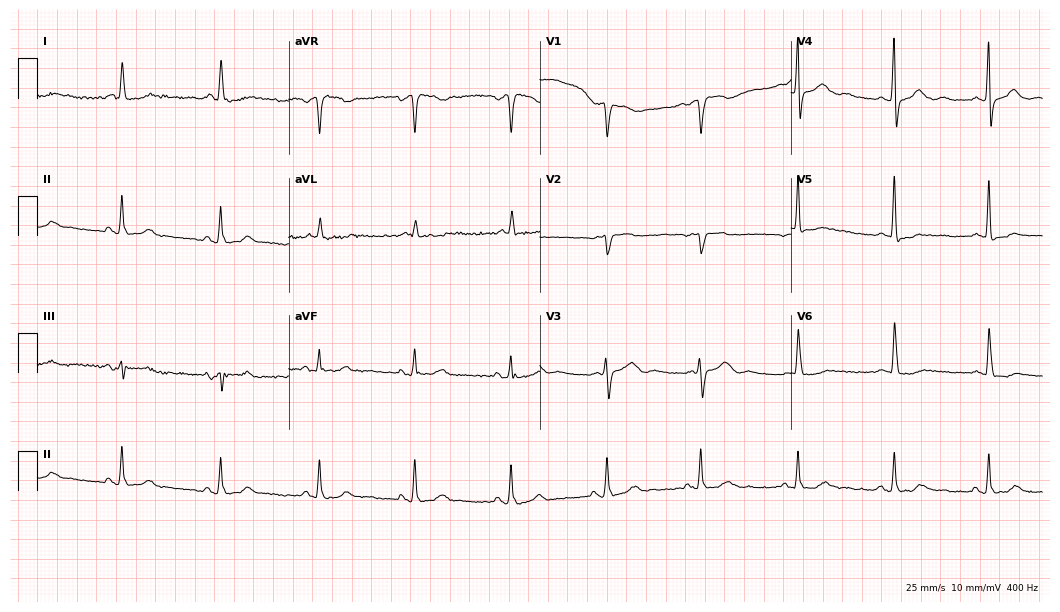
12-lead ECG from a female patient, 50 years old. Screened for six findings — first-degree AV block, right bundle branch block, left bundle branch block, sinus bradycardia, atrial fibrillation, sinus tachycardia — none is recorded. Findings outside these six are not listed.